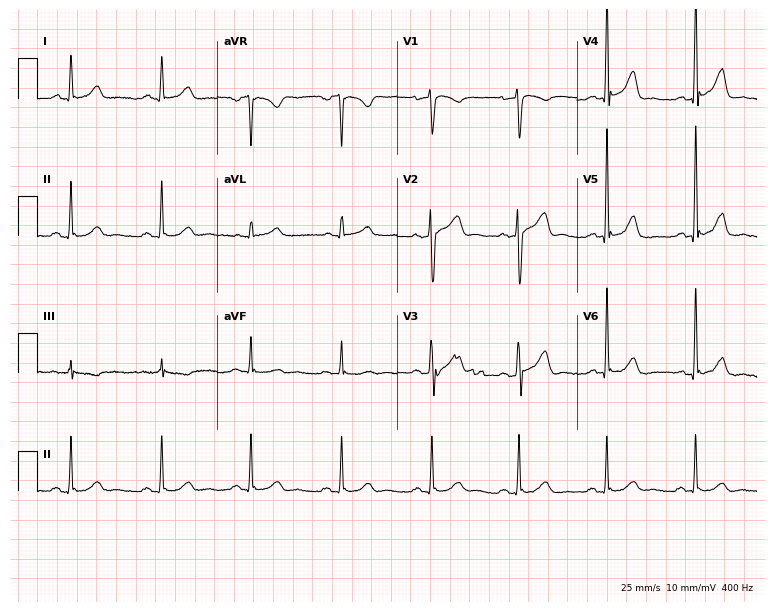
12-lead ECG from a 52-year-old man. No first-degree AV block, right bundle branch block, left bundle branch block, sinus bradycardia, atrial fibrillation or sinus tachycardia recorded for this tracing. Other findings, if any, are not listed.